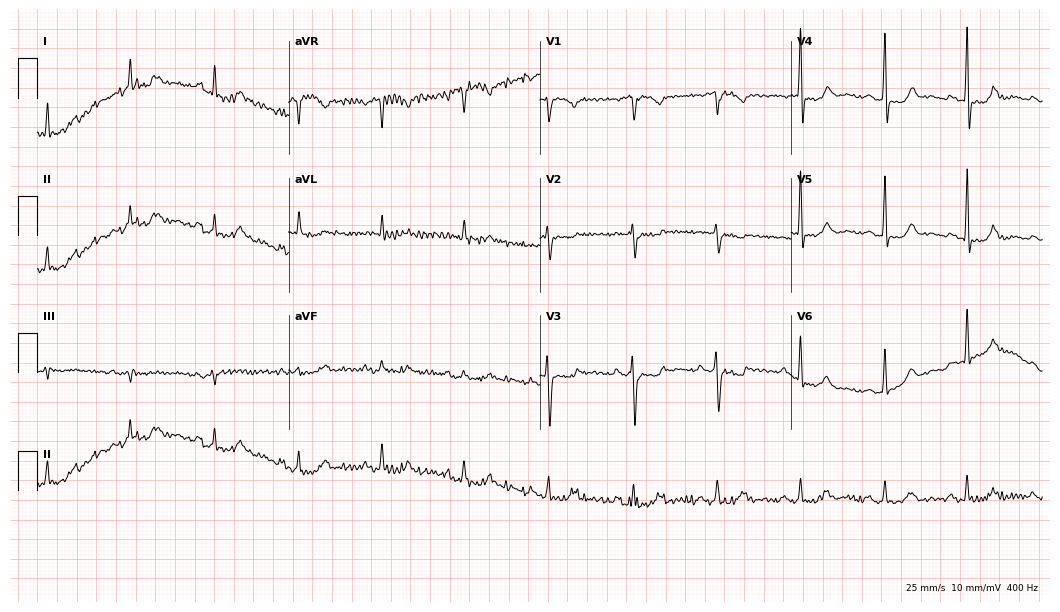
Standard 12-lead ECG recorded from a 70-year-old woman (10.2-second recording at 400 Hz). None of these six findings is recorded: first-degree AV block, right bundle branch block (RBBB), left bundle branch block (LBBB), sinus bradycardia, atrial fibrillation (AF), sinus tachycardia. Only these six findings were labelled.